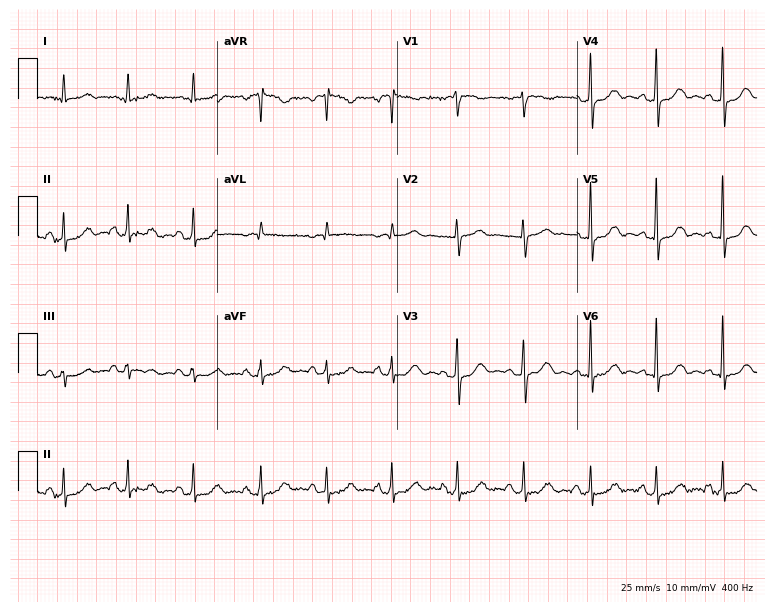
12-lead ECG from a 69-year-old female. Screened for six findings — first-degree AV block, right bundle branch block (RBBB), left bundle branch block (LBBB), sinus bradycardia, atrial fibrillation (AF), sinus tachycardia — none is recorded. Findings outside these six are not listed.